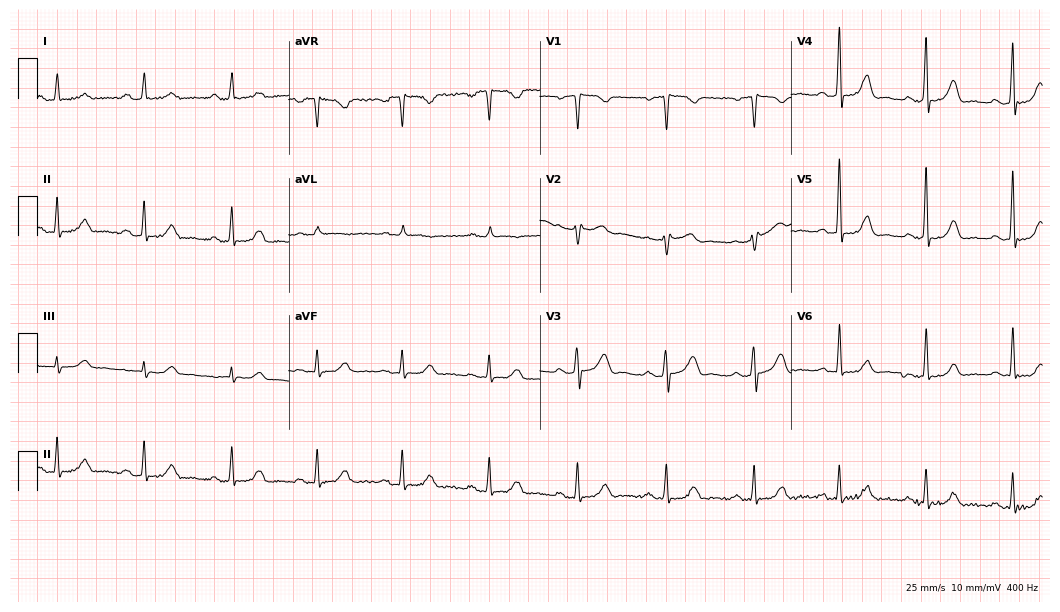
Resting 12-lead electrocardiogram. Patient: a 43-year-old female. None of these six findings is recorded: first-degree AV block, right bundle branch block, left bundle branch block, sinus bradycardia, atrial fibrillation, sinus tachycardia. Only these six findings were labelled.